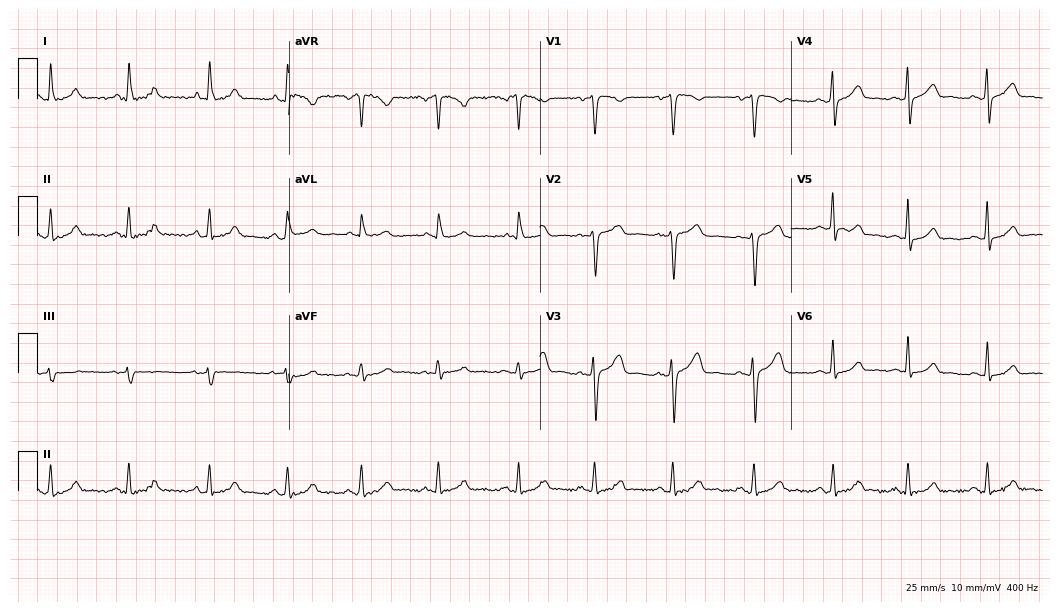
12-lead ECG from a 54-year-old female (10.2-second recording at 400 Hz). Recorded interpretation: within normal limits.